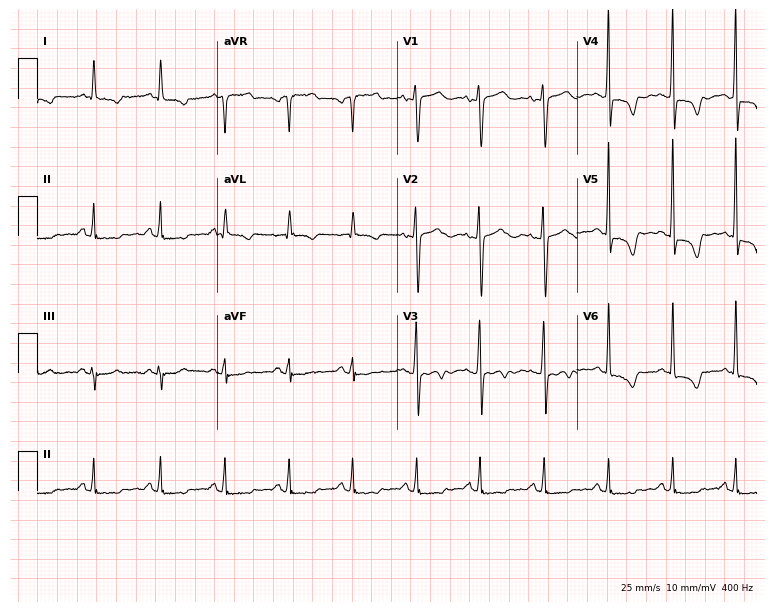
Electrocardiogram, a 53-year-old female patient. Of the six screened findings (first-degree AV block, right bundle branch block, left bundle branch block, sinus bradycardia, atrial fibrillation, sinus tachycardia), none is recorded.